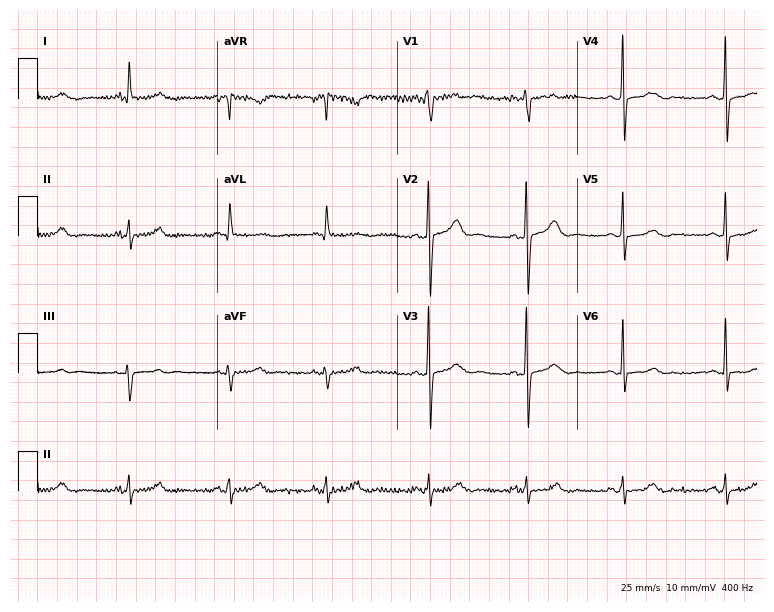
Standard 12-lead ECG recorded from a 65-year-old man (7.3-second recording at 400 Hz). None of these six findings is recorded: first-degree AV block, right bundle branch block, left bundle branch block, sinus bradycardia, atrial fibrillation, sinus tachycardia.